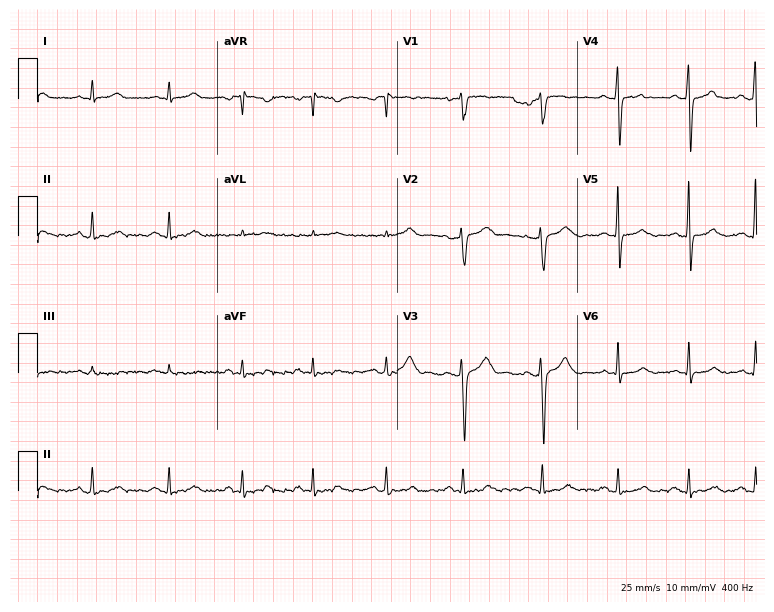
12-lead ECG from a 34-year-old female patient (7.3-second recording at 400 Hz). No first-degree AV block, right bundle branch block (RBBB), left bundle branch block (LBBB), sinus bradycardia, atrial fibrillation (AF) or sinus tachycardia recorded for this tracing.